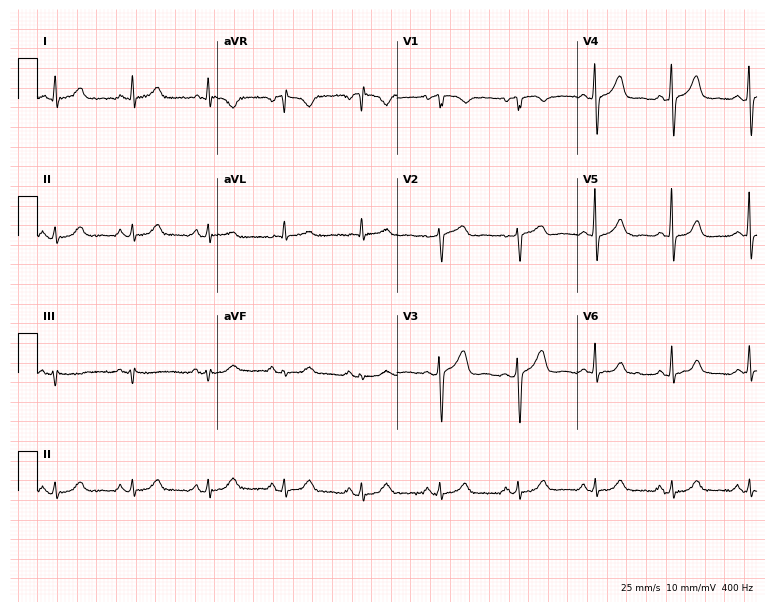
Resting 12-lead electrocardiogram (7.3-second recording at 400 Hz). Patient: a 73-year-old female. Read as a normal ECG.